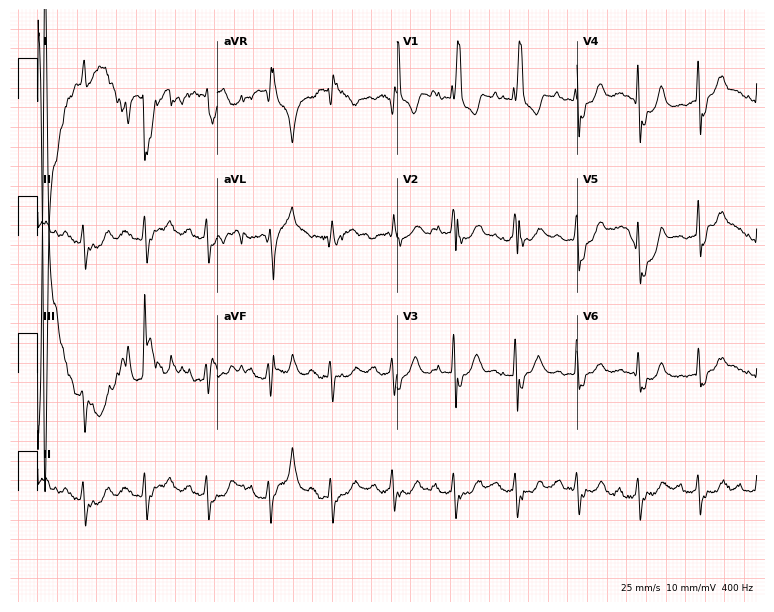
12-lead ECG from a male patient, 54 years old. Shows right bundle branch block.